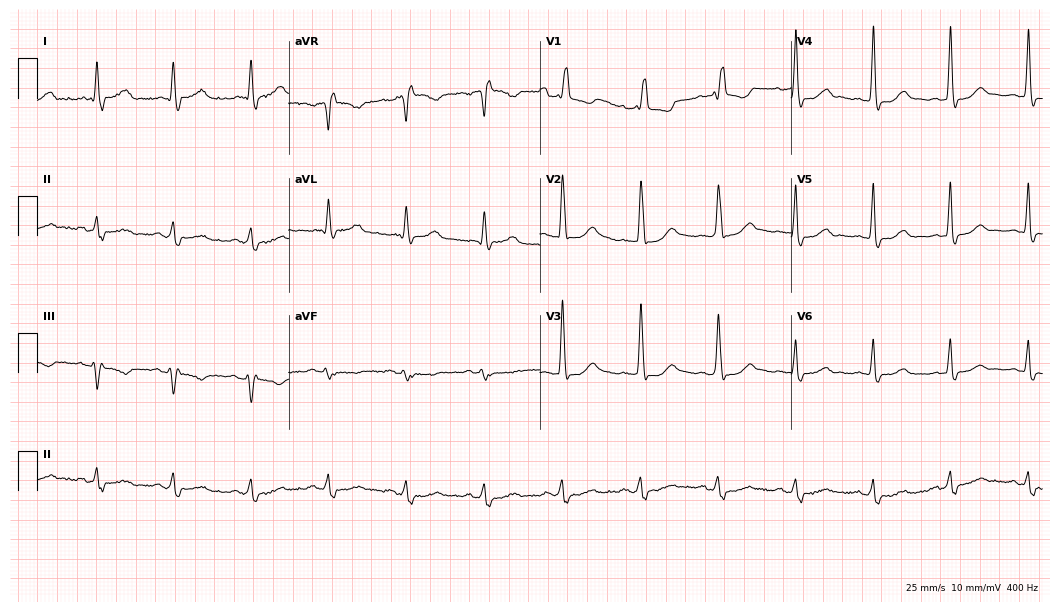
ECG (10.2-second recording at 400 Hz) — a 73-year-old man. Findings include right bundle branch block (RBBB).